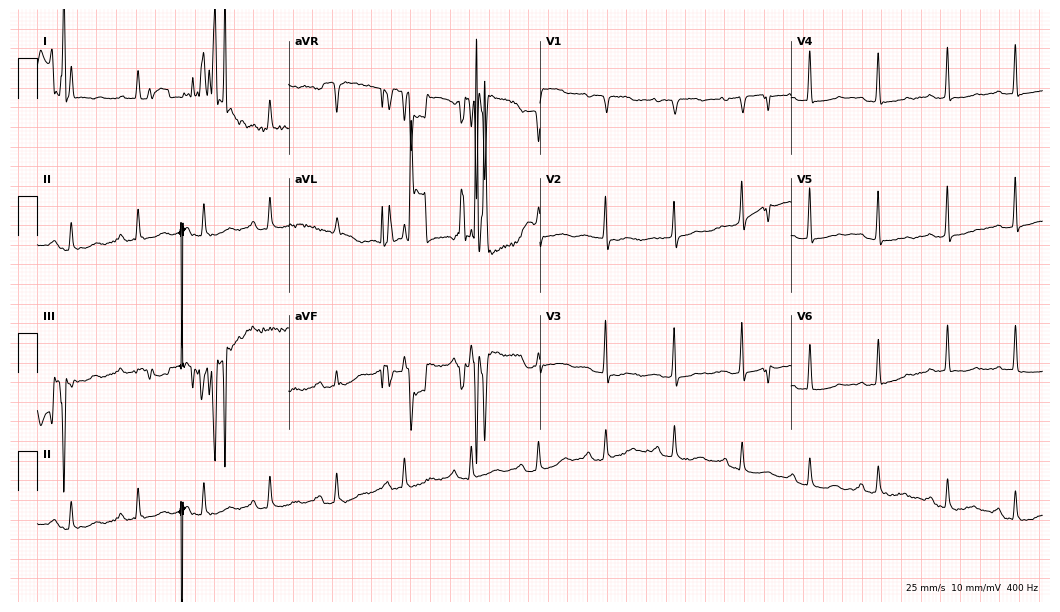
12-lead ECG from an 85-year-old woman. No first-degree AV block, right bundle branch block (RBBB), left bundle branch block (LBBB), sinus bradycardia, atrial fibrillation (AF) or sinus tachycardia recorded for this tracing. Other findings, if any, are not listed.